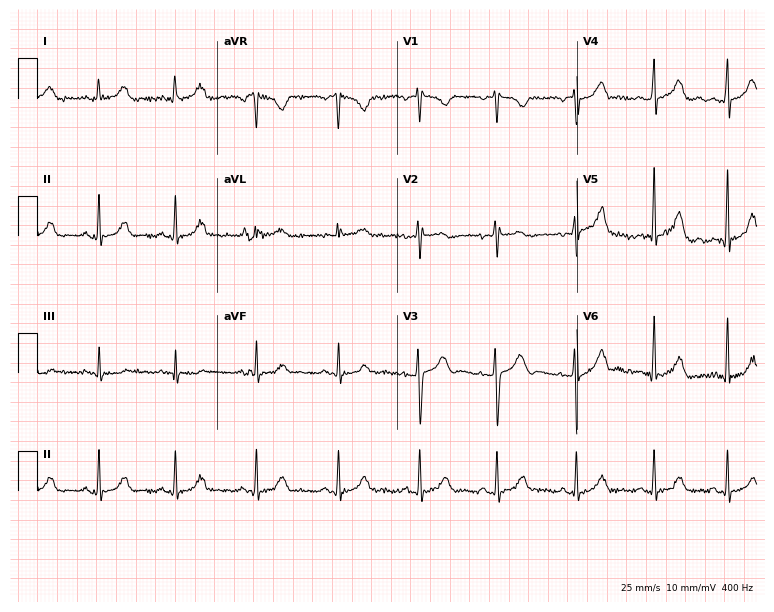
12-lead ECG (7.3-second recording at 400 Hz) from a female, 31 years old. Screened for six findings — first-degree AV block, right bundle branch block, left bundle branch block, sinus bradycardia, atrial fibrillation, sinus tachycardia — none is recorded.